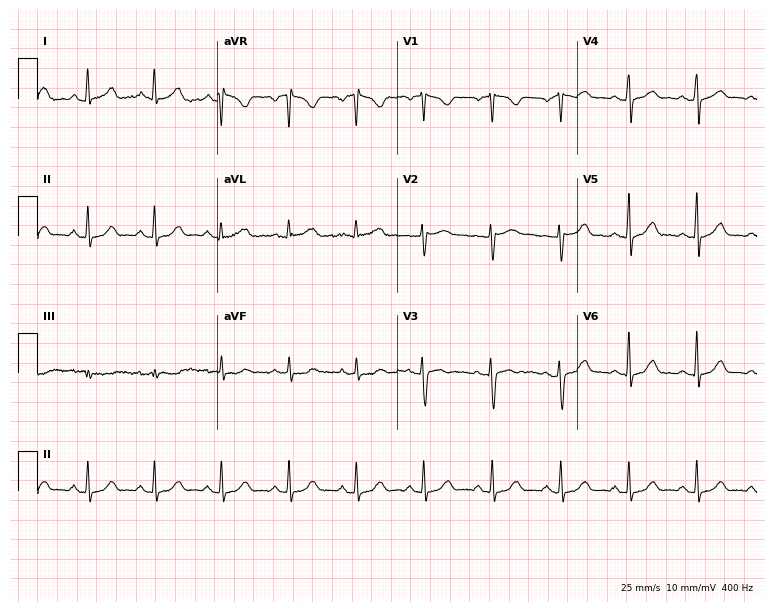
12-lead ECG from a woman, 41 years old (7.3-second recording at 400 Hz). No first-degree AV block, right bundle branch block, left bundle branch block, sinus bradycardia, atrial fibrillation or sinus tachycardia recorded for this tracing.